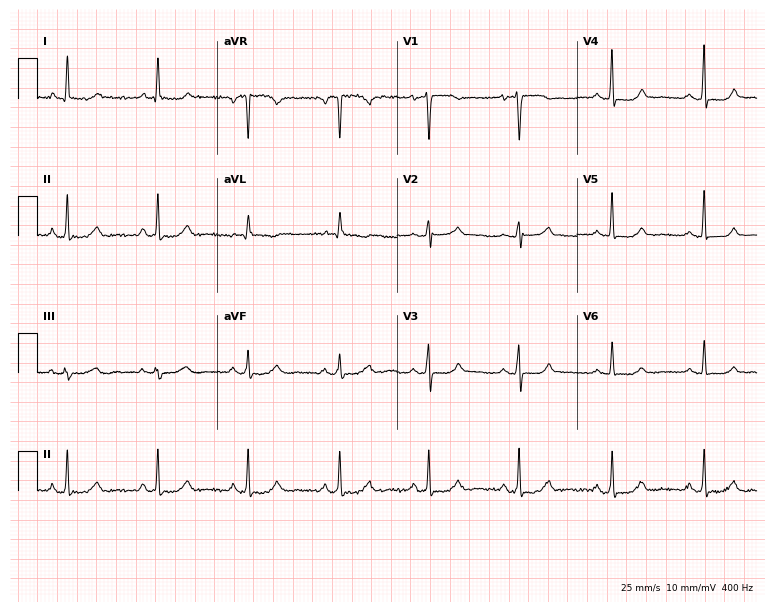
12-lead ECG (7.3-second recording at 400 Hz) from a 52-year-old woman. Screened for six findings — first-degree AV block, right bundle branch block, left bundle branch block, sinus bradycardia, atrial fibrillation, sinus tachycardia — none is recorded.